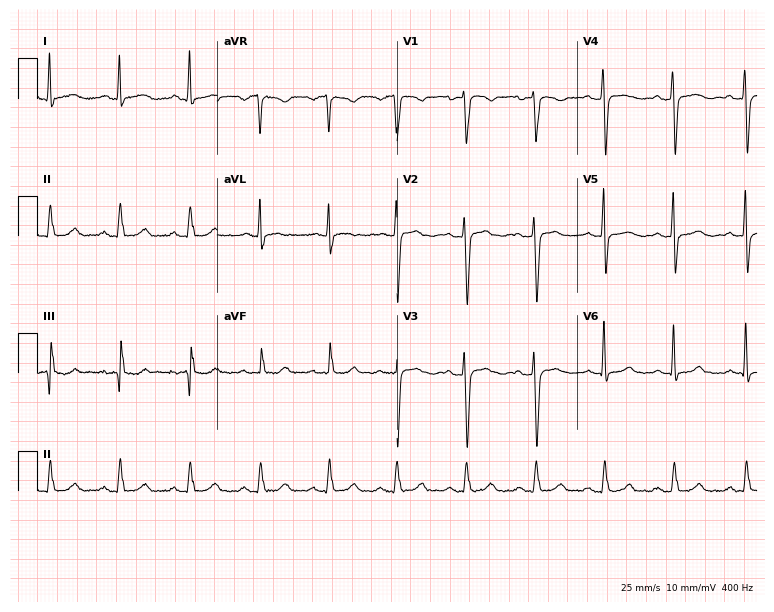
12-lead ECG from a woman, 36 years old (7.3-second recording at 400 Hz). Recorded interpretation: within normal limits.